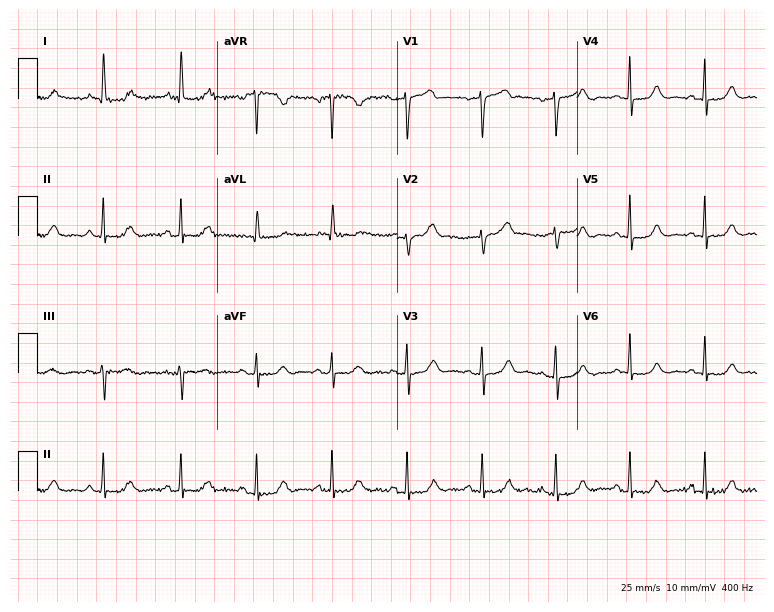
Resting 12-lead electrocardiogram (7.3-second recording at 400 Hz). Patient: a female, 64 years old. Read as a normal ECG.